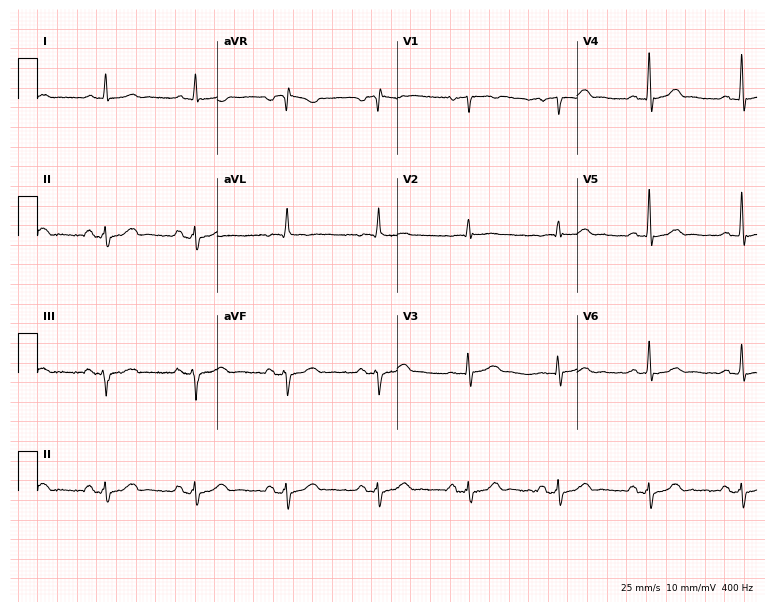
Resting 12-lead electrocardiogram. Patient: a male, 66 years old. None of these six findings is recorded: first-degree AV block, right bundle branch block, left bundle branch block, sinus bradycardia, atrial fibrillation, sinus tachycardia.